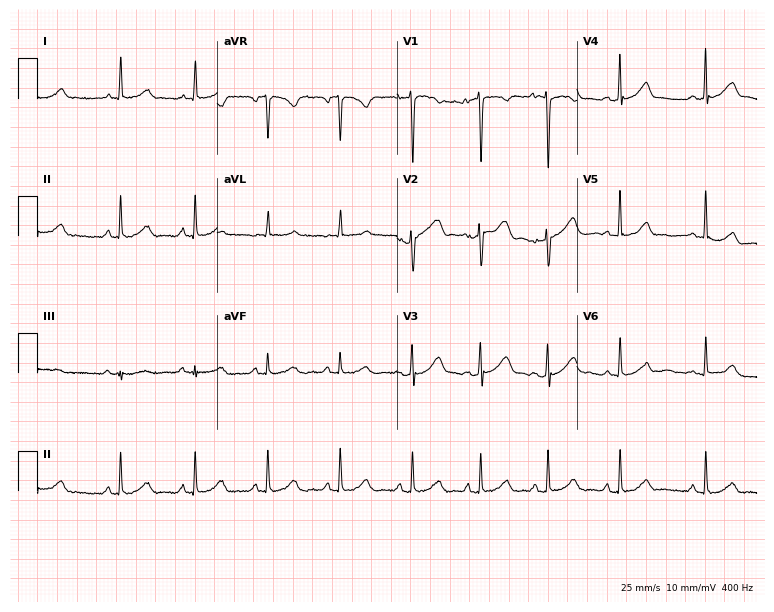
12-lead ECG from a female patient, 30 years old (7.3-second recording at 400 Hz). Recorded interpretation: within normal limits.